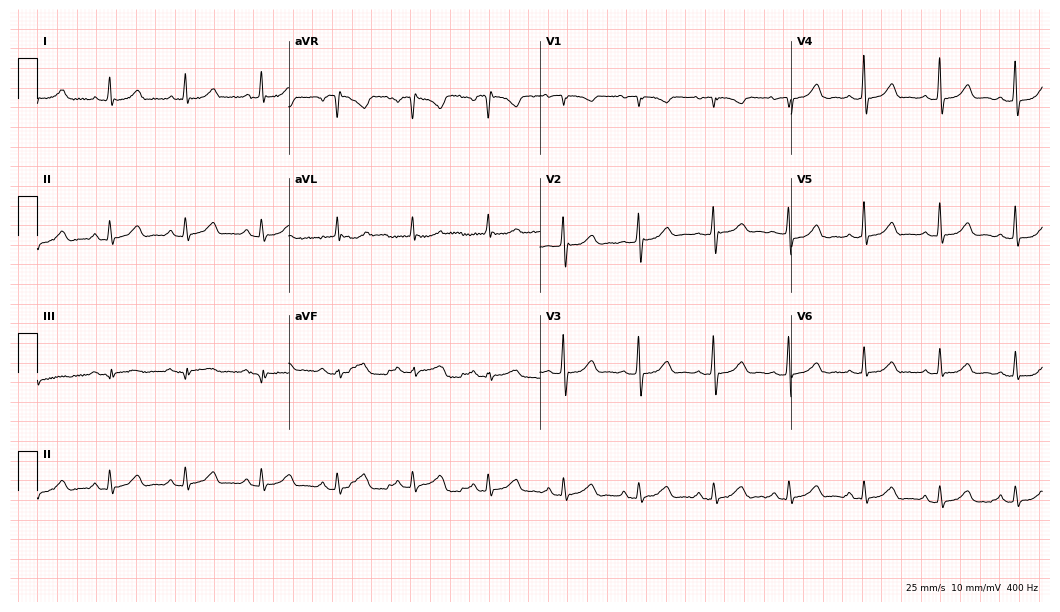
Electrocardiogram (10.2-second recording at 400 Hz), a female patient, 71 years old. Overall reading on record: normal ECG.